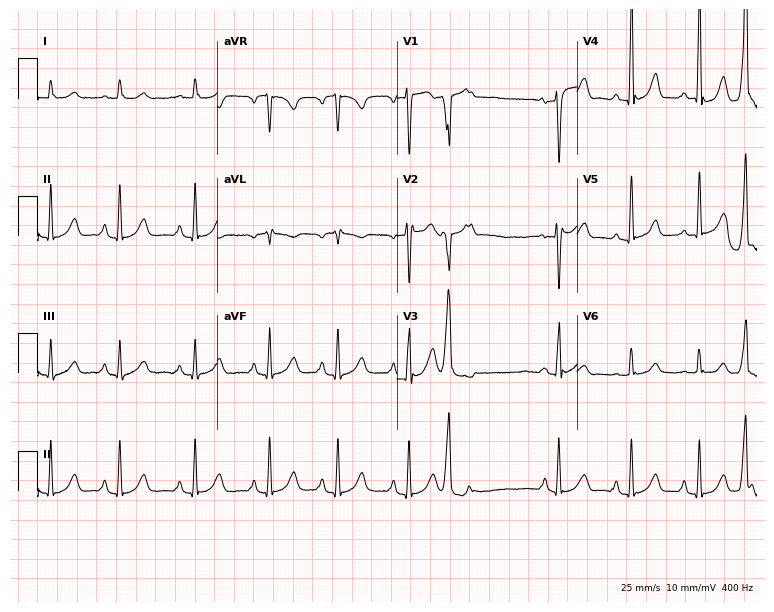
Standard 12-lead ECG recorded from a female, 57 years old (7.3-second recording at 400 Hz). None of these six findings is recorded: first-degree AV block, right bundle branch block (RBBB), left bundle branch block (LBBB), sinus bradycardia, atrial fibrillation (AF), sinus tachycardia.